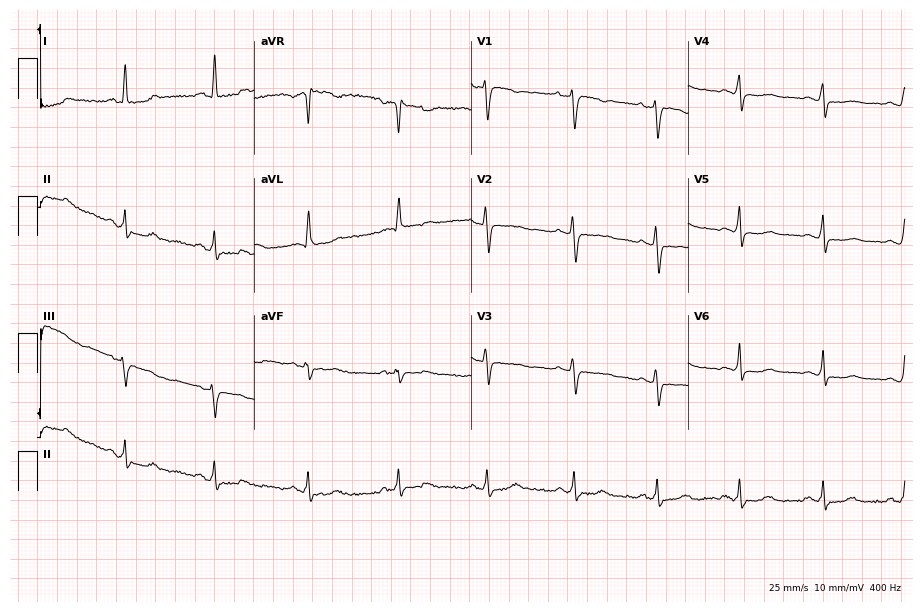
12-lead ECG from a 42-year-old female patient. Screened for six findings — first-degree AV block, right bundle branch block, left bundle branch block, sinus bradycardia, atrial fibrillation, sinus tachycardia — none is recorded. Findings outside these six are not listed.